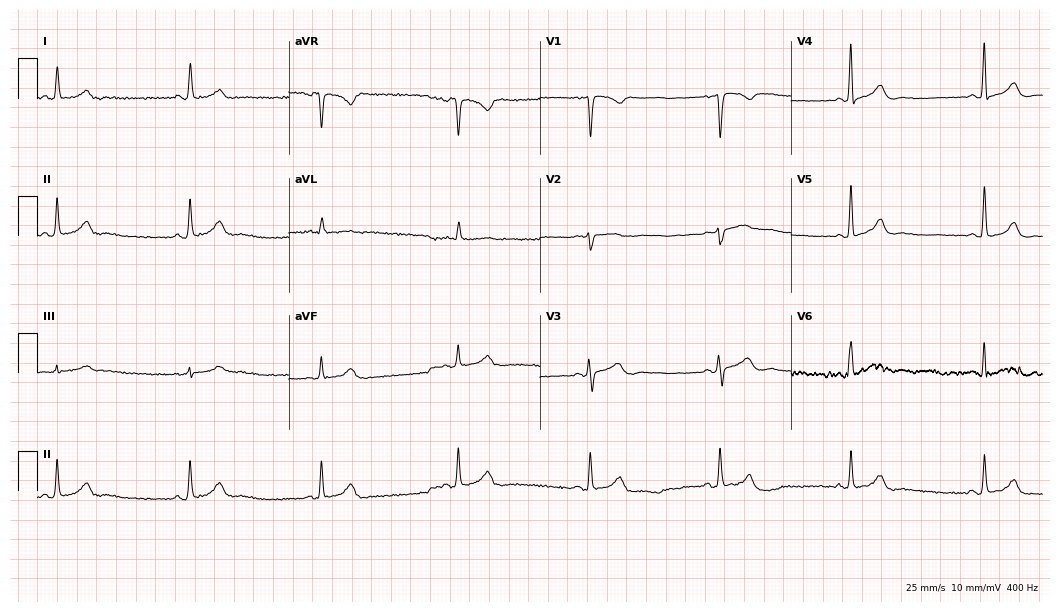
Resting 12-lead electrocardiogram (10.2-second recording at 400 Hz). Patient: a woman, 47 years old. The tracing shows sinus bradycardia (a sinus rate of 50 beats per minute or less).